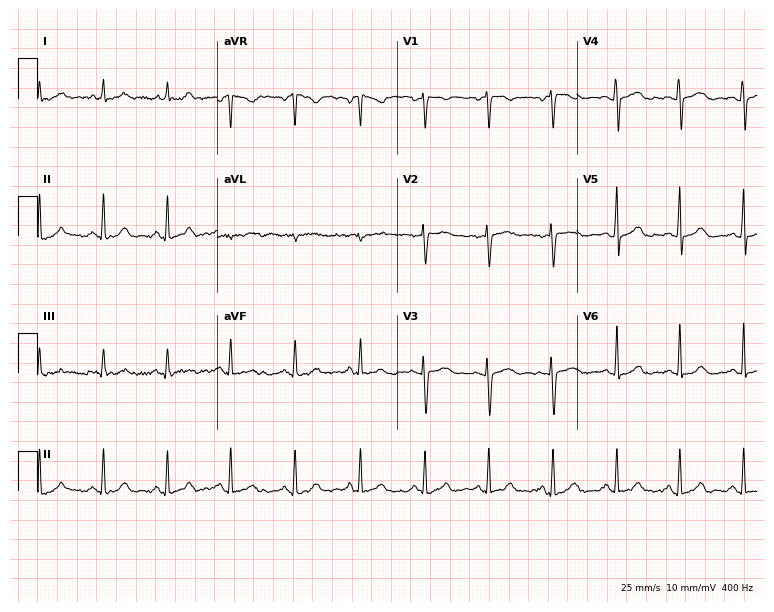
12-lead ECG from a female, 47 years old. Labelled as a normal ECG.